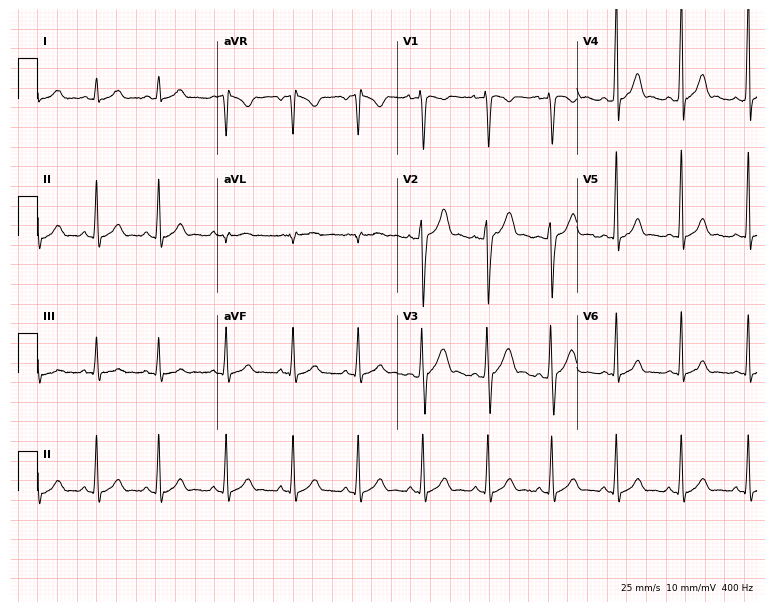
12-lead ECG from a male, 25 years old. Recorded interpretation: within normal limits.